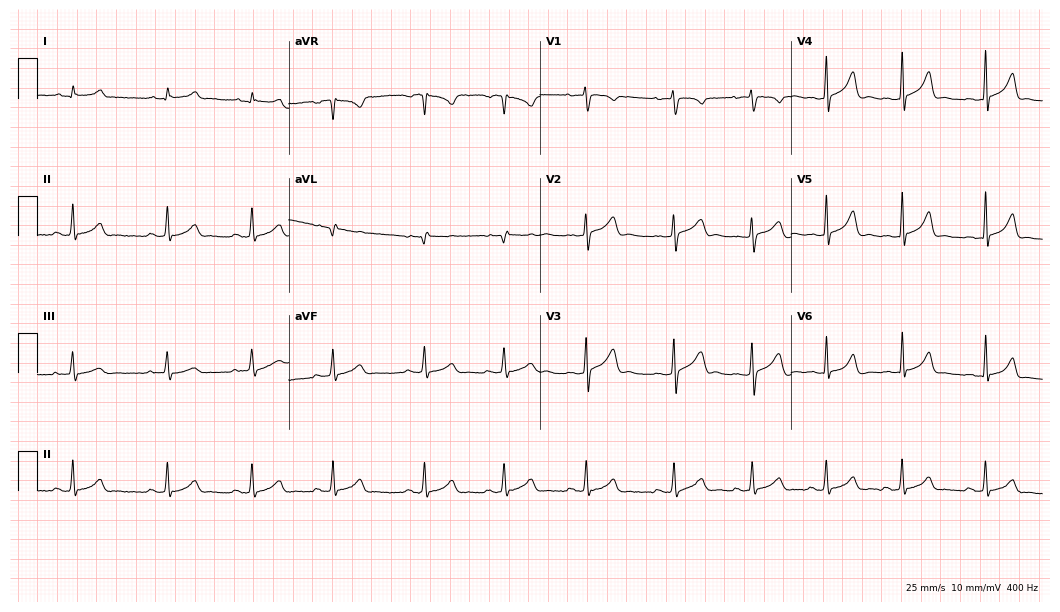
12-lead ECG from an 18-year-old female. Recorded interpretation: within normal limits.